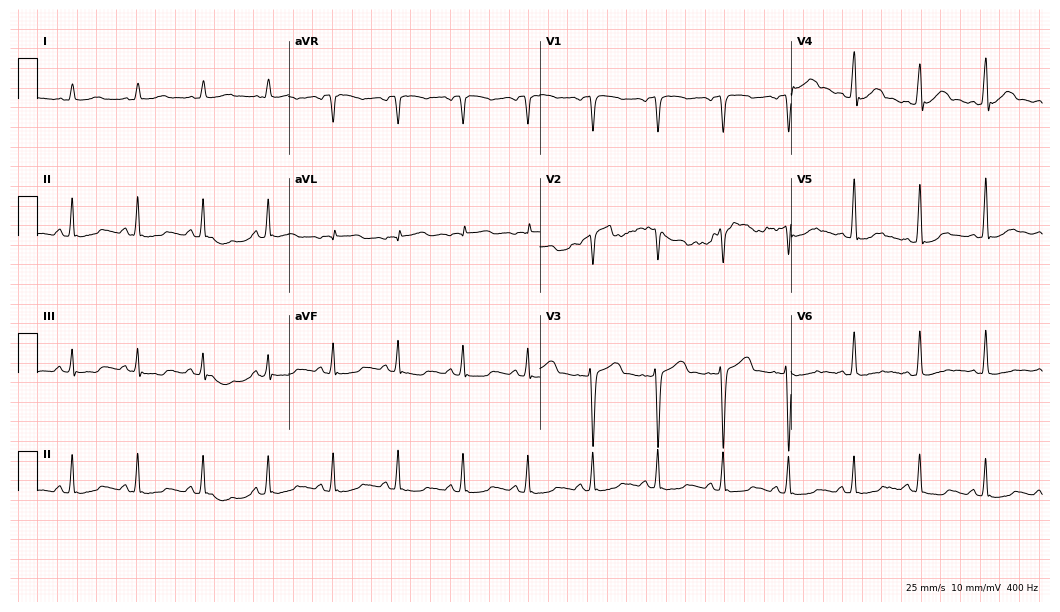
Standard 12-lead ECG recorded from a 42-year-old man. None of these six findings is recorded: first-degree AV block, right bundle branch block, left bundle branch block, sinus bradycardia, atrial fibrillation, sinus tachycardia. Other findings, if any, are not listed.